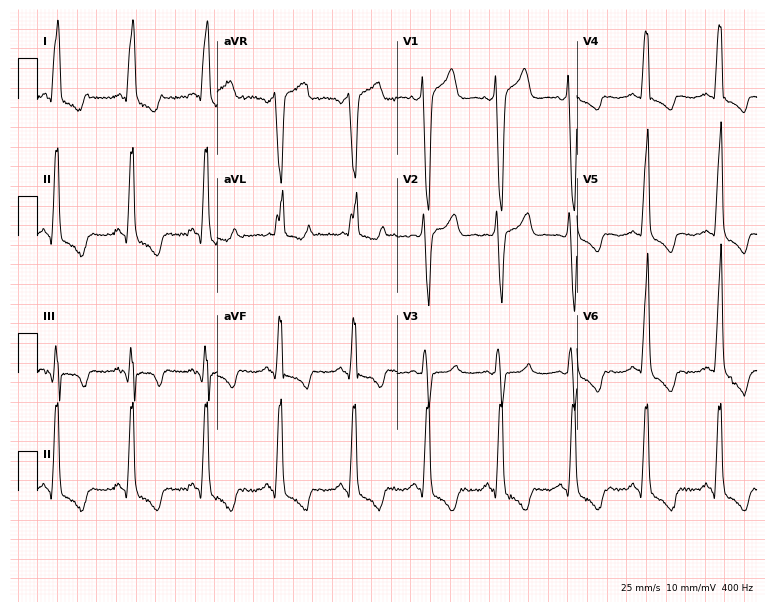
12-lead ECG from a woman, 51 years old. Findings include left bundle branch block.